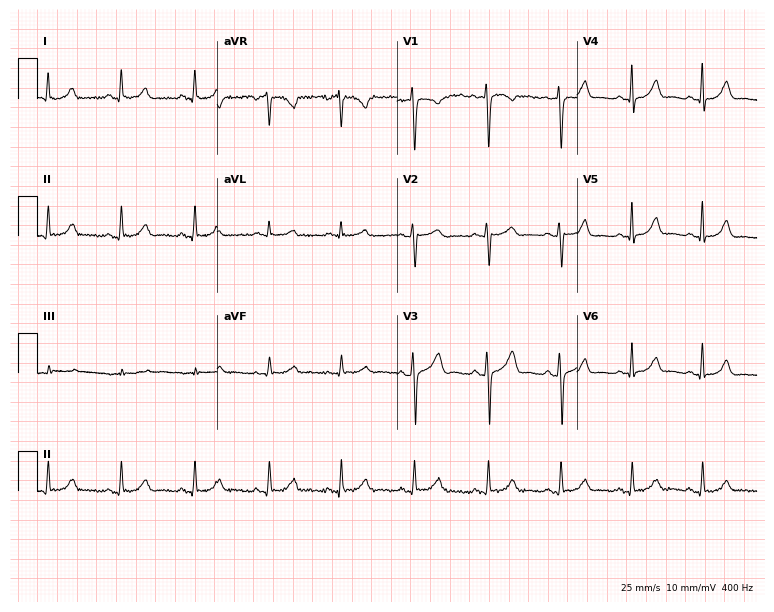
ECG — a 29-year-old female patient. Labelled as a normal ECG.